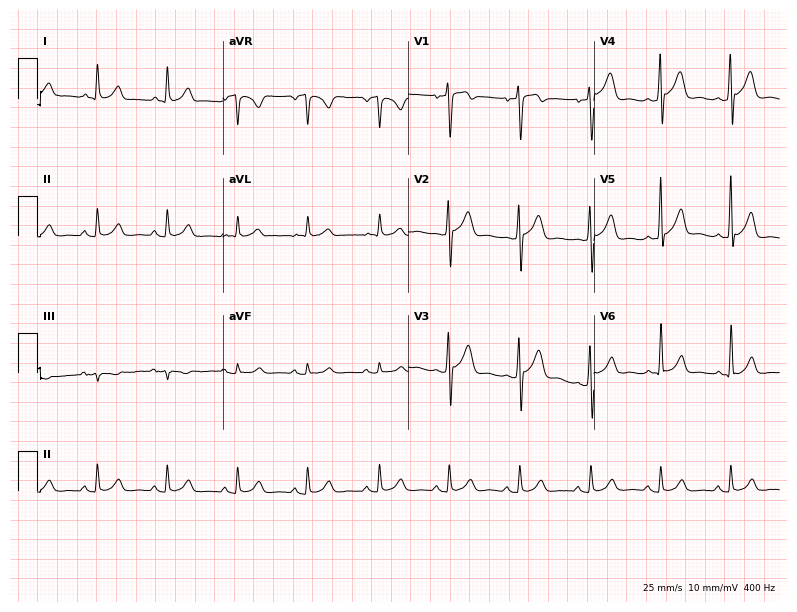
Standard 12-lead ECG recorded from a male, 37 years old (7.6-second recording at 400 Hz). None of these six findings is recorded: first-degree AV block, right bundle branch block, left bundle branch block, sinus bradycardia, atrial fibrillation, sinus tachycardia.